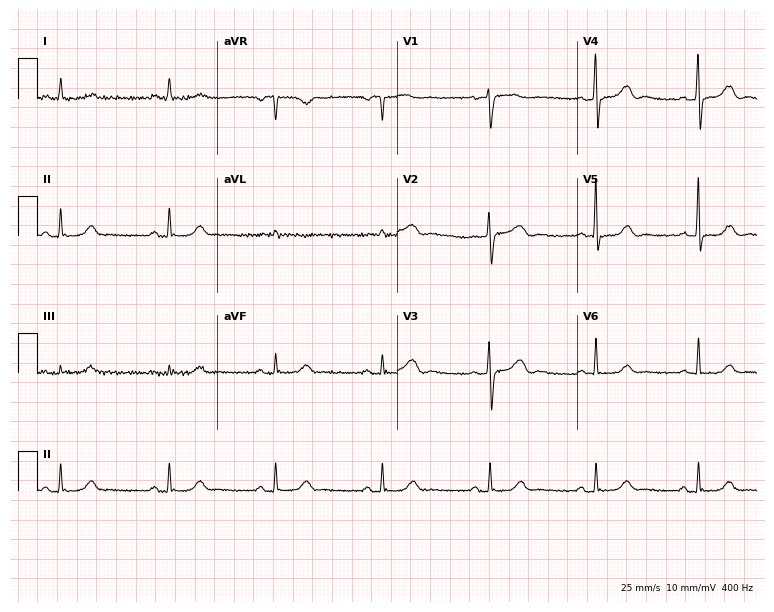
12-lead ECG from a female, 67 years old (7.3-second recording at 400 Hz). Recorded interpretation: within normal limits.